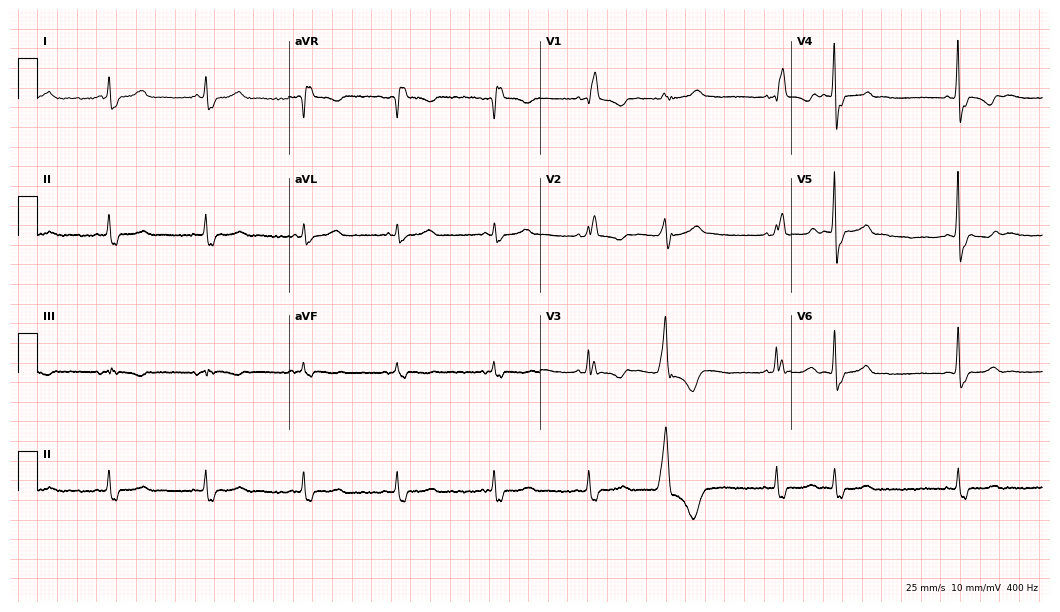
Electrocardiogram (10.2-second recording at 400 Hz), a 60-year-old woman. Interpretation includes right bundle branch block.